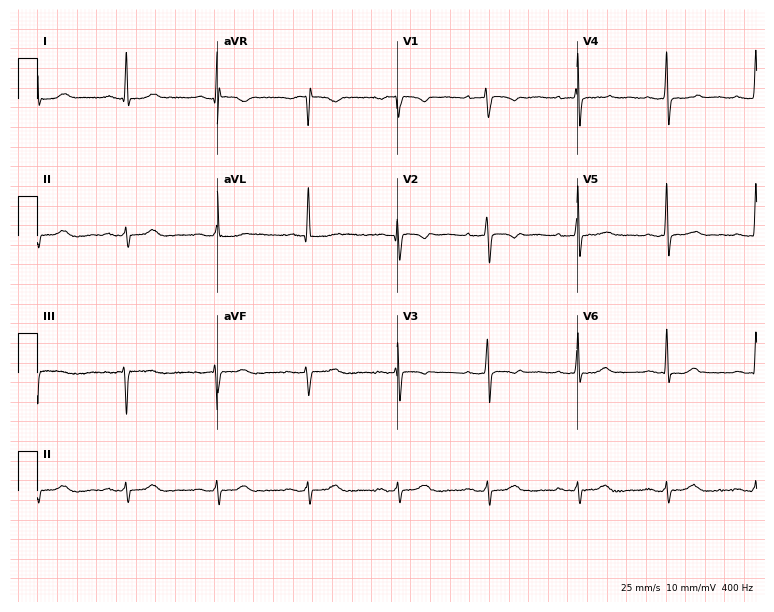
ECG — a female, 64 years old. Screened for six findings — first-degree AV block, right bundle branch block, left bundle branch block, sinus bradycardia, atrial fibrillation, sinus tachycardia — none is recorded.